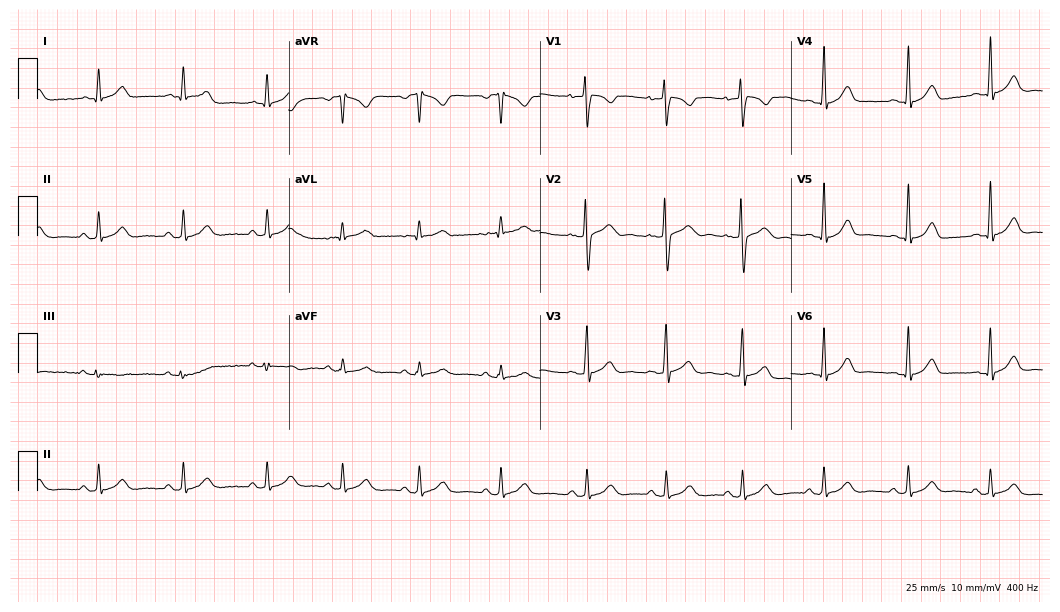
Resting 12-lead electrocardiogram. Patient: a female, 20 years old. Read as a normal ECG.